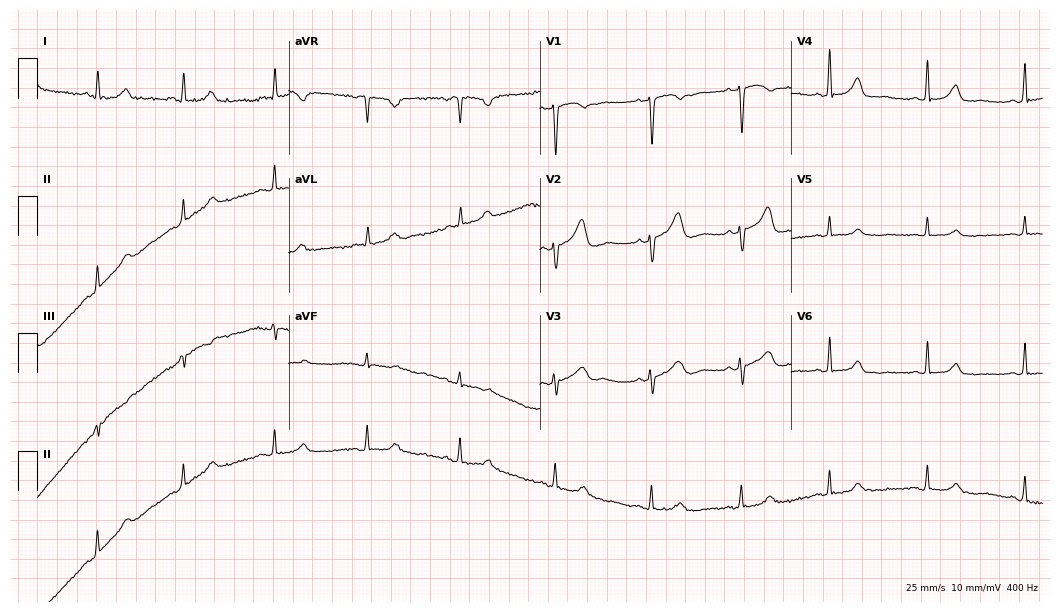
Resting 12-lead electrocardiogram (10.2-second recording at 400 Hz). Patient: a female, 46 years old. Read as a normal ECG.